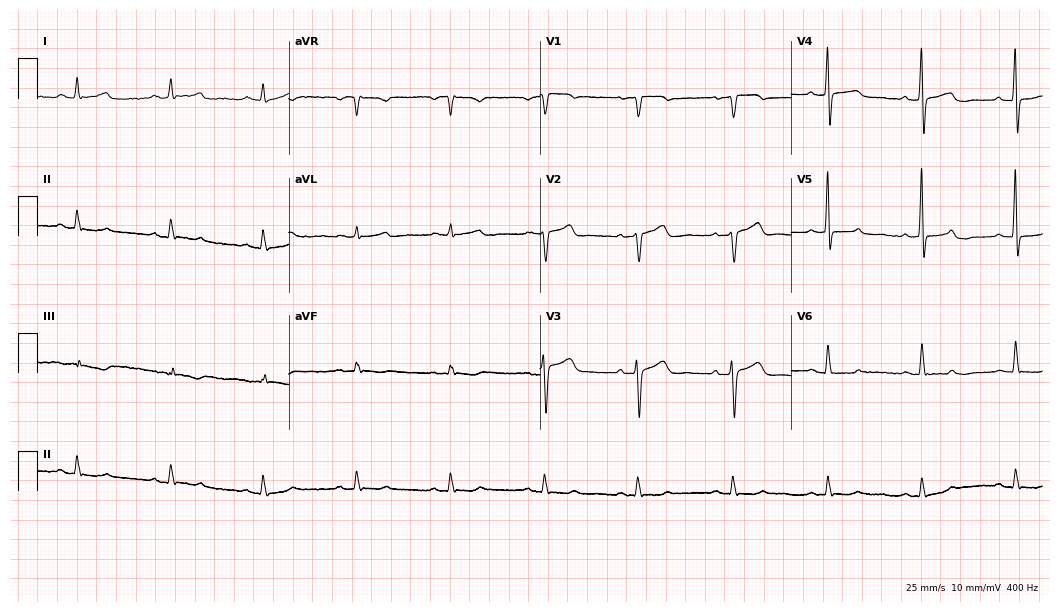
Standard 12-lead ECG recorded from a 62-year-old man (10.2-second recording at 400 Hz). None of these six findings is recorded: first-degree AV block, right bundle branch block (RBBB), left bundle branch block (LBBB), sinus bradycardia, atrial fibrillation (AF), sinus tachycardia.